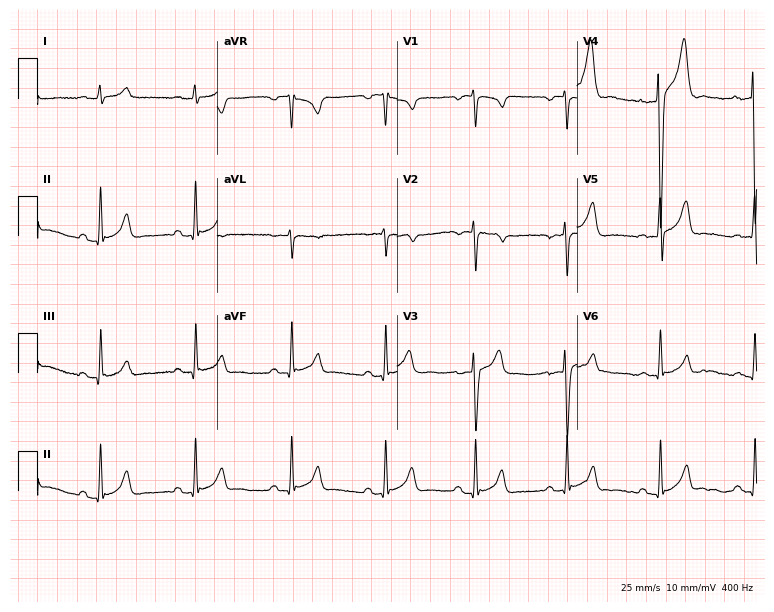
12-lead ECG from a male patient, 34 years old (7.3-second recording at 400 Hz). Recorded interpretation: within normal limits.